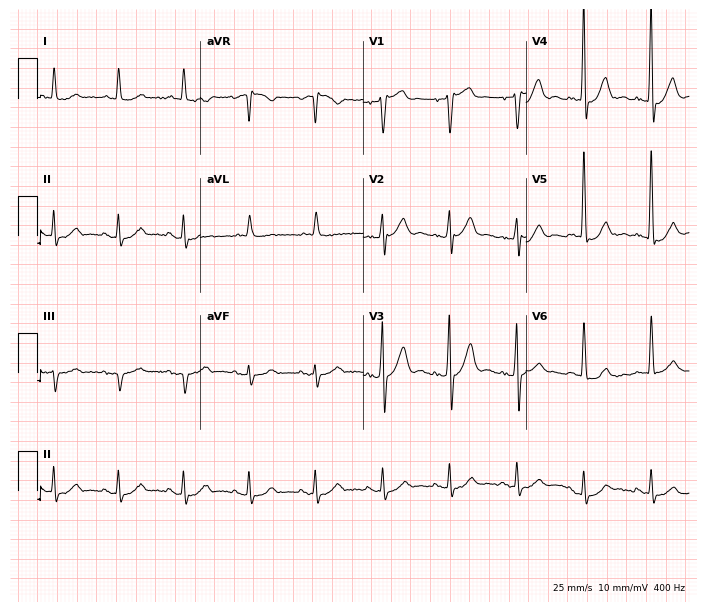
12-lead ECG from a man, 83 years old. No first-degree AV block, right bundle branch block (RBBB), left bundle branch block (LBBB), sinus bradycardia, atrial fibrillation (AF) or sinus tachycardia recorded for this tracing. Only these six findings were labelled.